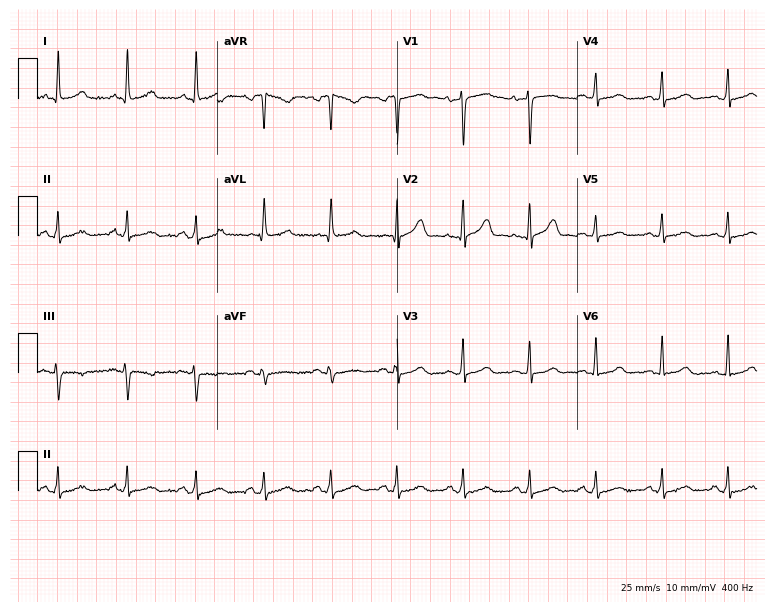
Electrocardiogram (7.3-second recording at 400 Hz), a 44-year-old woman. Of the six screened findings (first-degree AV block, right bundle branch block, left bundle branch block, sinus bradycardia, atrial fibrillation, sinus tachycardia), none is recorded. Only these six findings were labelled.